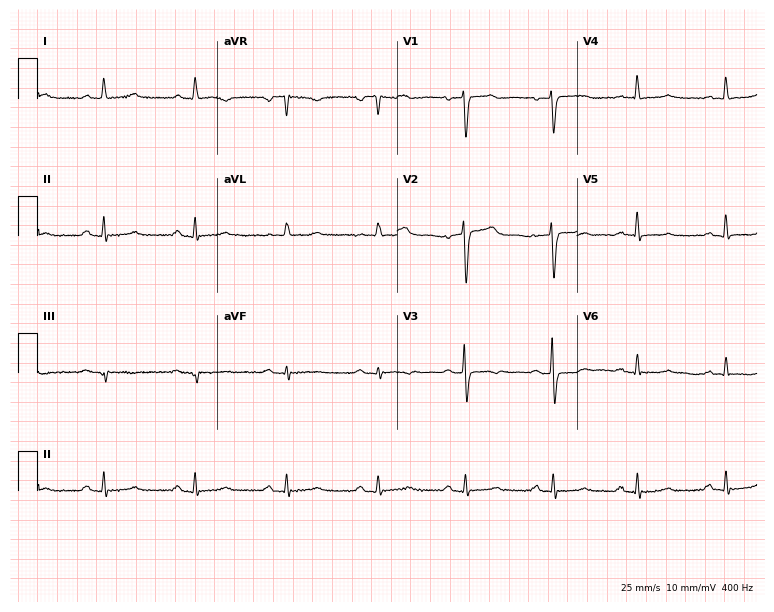
12-lead ECG from a female, 65 years old (7.3-second recording at 400 Hz). Recorded interpretation: within normal limits.